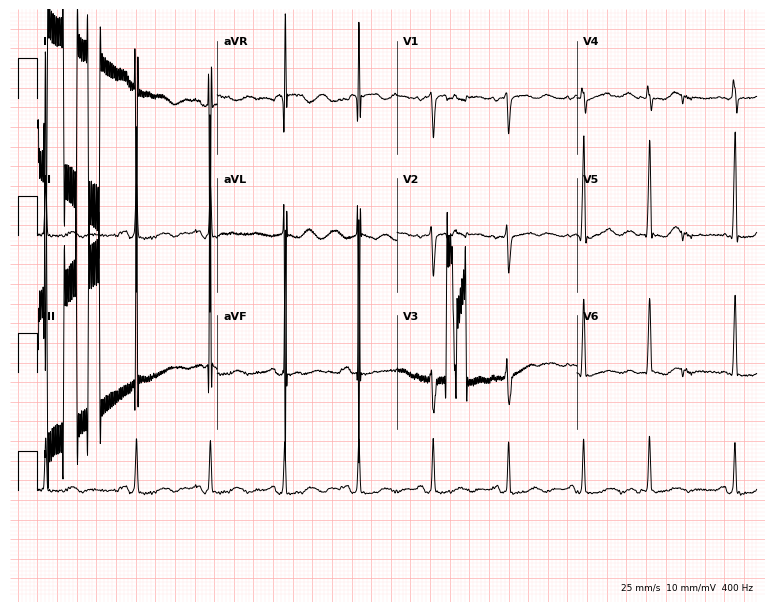
Electrocardiogram (7.3-second recording at 400 Hz), an 83-year-old female patient. Of the six screened findings (first-degree AV block, right bundle branch block, left bundle branch block, sinus bradycardia, atrial fibrillation, sinus tachycardia), none is recorded. Findings outside these six are not listed.